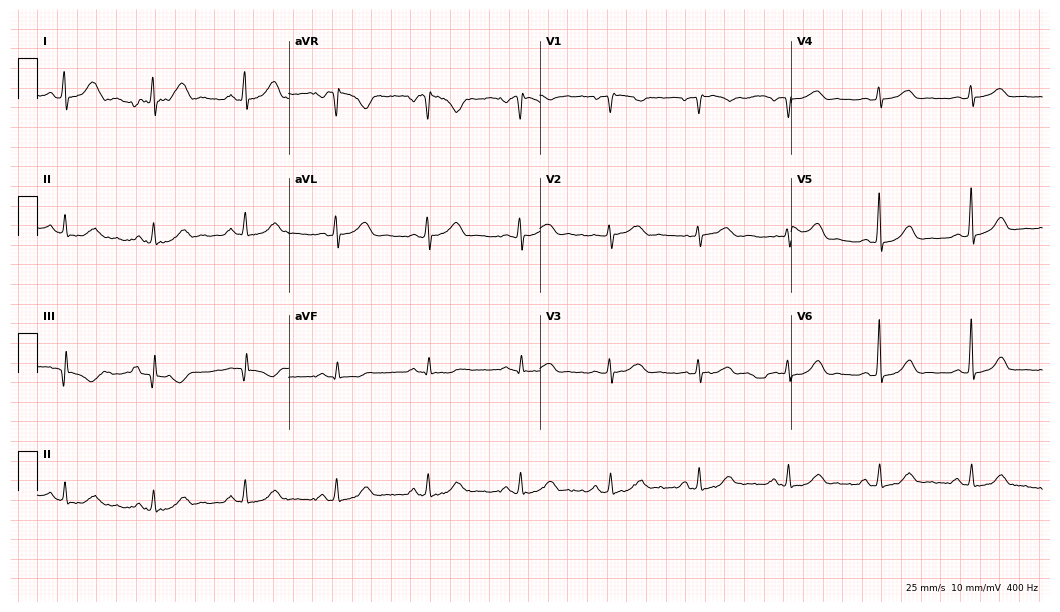
Standard 12-lead ECG recorded from a 62-year-old female patient (10.2-second recording at 400 Hz). None of these six findings is recorded: first-degree AV block, right bundle branch block (RBBB), left bundle branch block (LBBB), sinus bradycardia, atrial fibrillation (AF), sinus tachycardia.